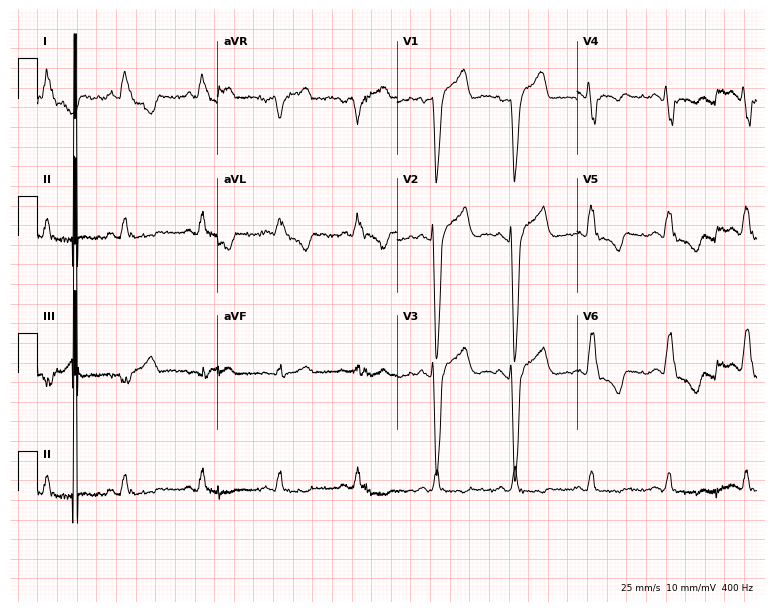
Electrocardiogram (7.3-second recording at 400 Hz), a male, 57 years old. Of the six screened findings (first-degree AV block, right bundle branch block, left bundle branch block, sinus bradycardia, atrial fibrillation, sinus tachycardia), none is recorded.